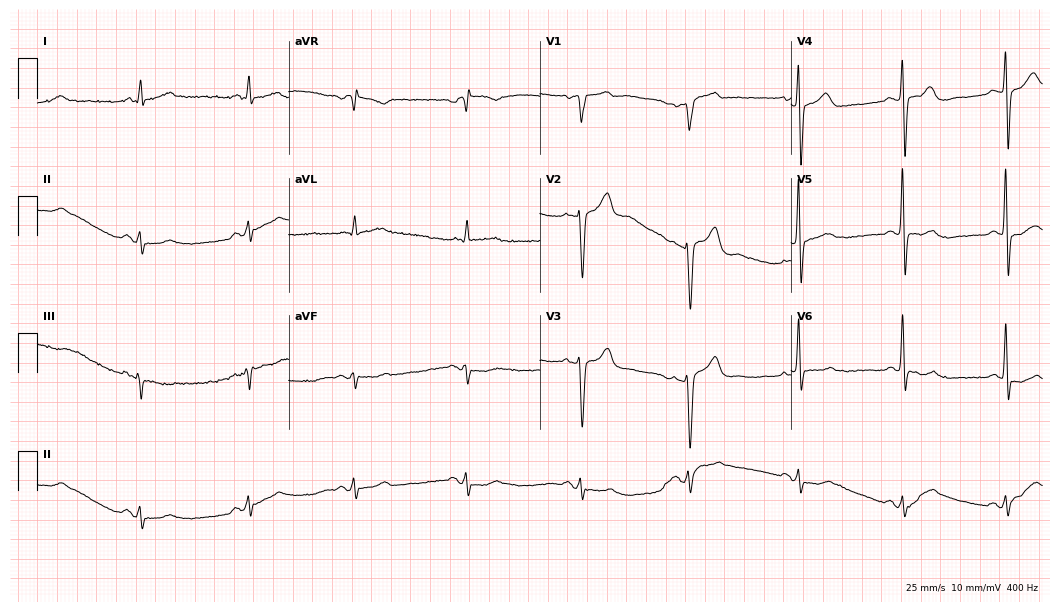
12-lead ECG from a male patient, 63 years old (10.2-second recording at 400 Hz). No first-degree AV block, right bundle branch block, left bundle branch block, sinus bradycardia, atrial fibrillation or sinus tachycardia recorded for this tracing.